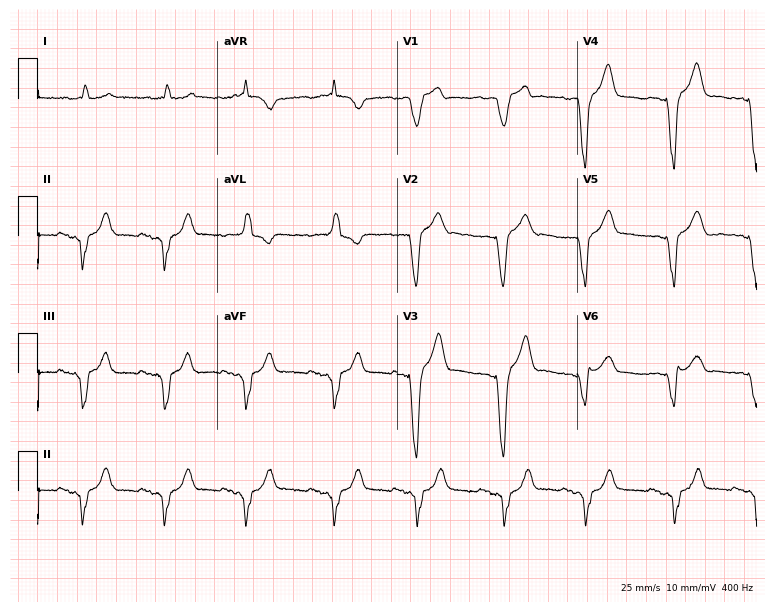
Resting 12-lead electrocardiogram (7.3-second recording at 400 Hz). Patient: a male, 73 years old. None of these six findings is recorded: first-degree AV block, right bundle branch block, left bundle branch block, sinus bradycardia, atrial fibrillation, sinus tachycardia.